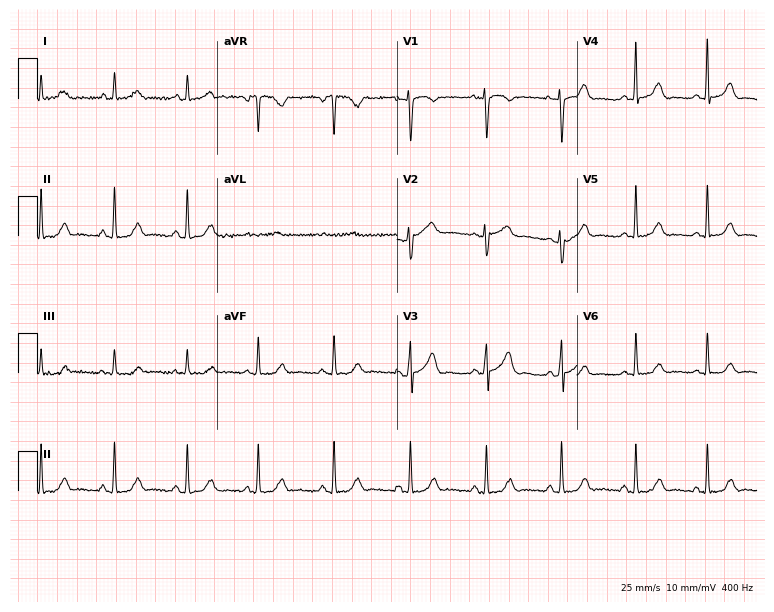
ECG (7.3-second recording at 400 Hz) — a woman, 32 years old. Labelled as a normal ECG.